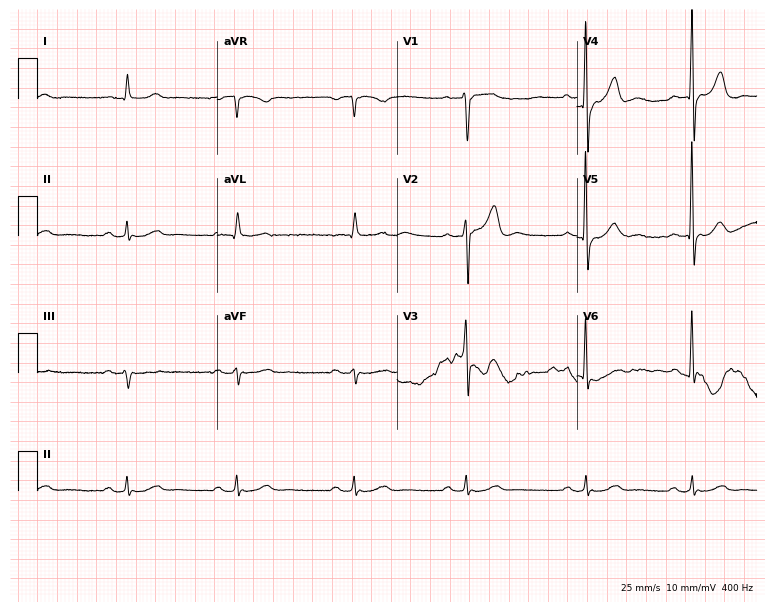
Electrocardiogram, a 77-year-old man. Overall reading on record: normal ECG.